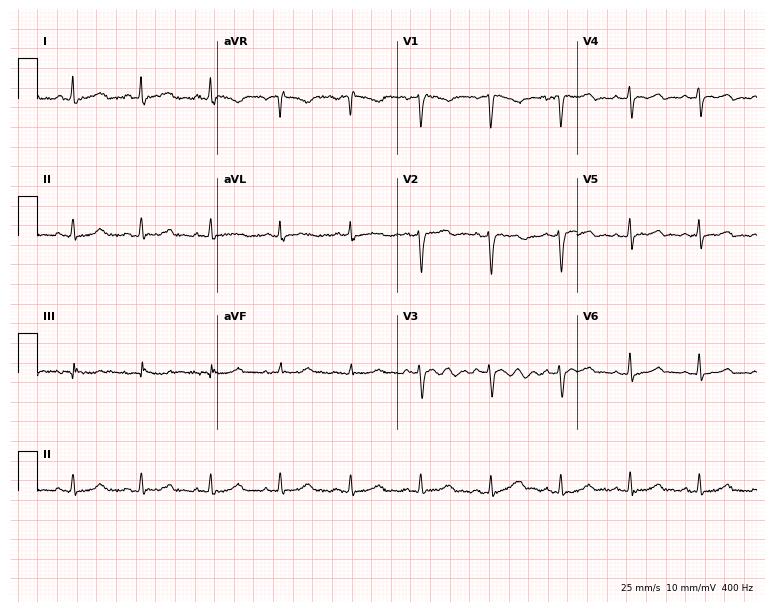
Electrocardiogram (7.3-second recording at 400 Hz), a 62-year-old woman. Overall reading on record: normal ECG.